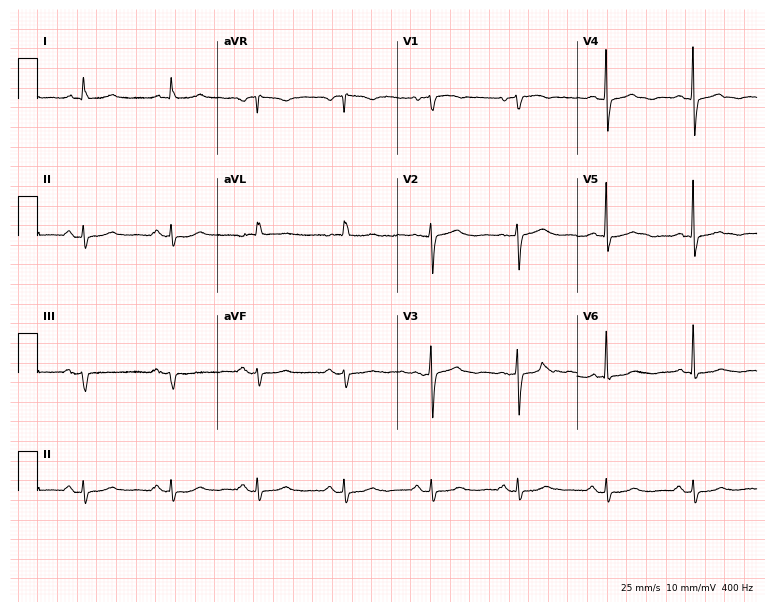
ECG — an 84-year-old woman. Screened for six findings — first-degree AV block, right bundle branch block (RBBB), left bundle branch block (LBBB), sinus bradycardia, atrial fibrillation (AF), sinus tachycardia — none is recorded. Findings outside these six are not listed.